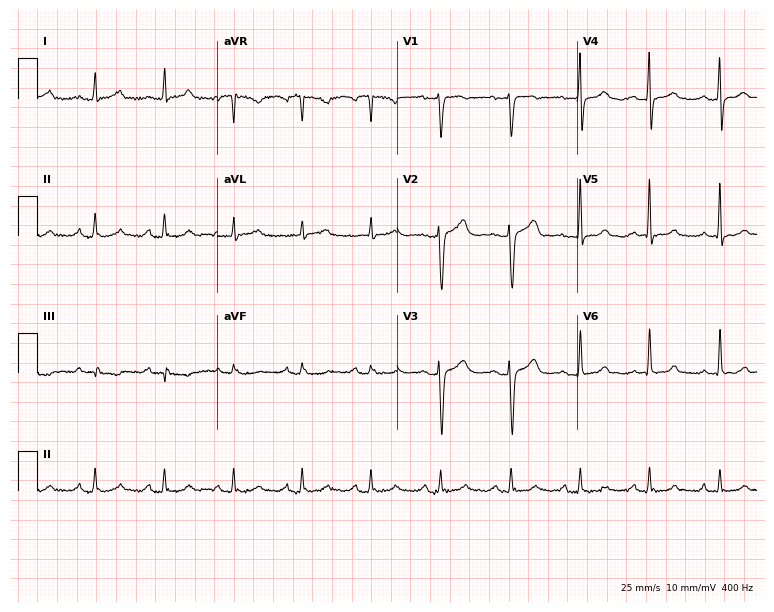
Standard 12-lead ECG recorded from a woman, 49 years old. Read as a normal ECG.